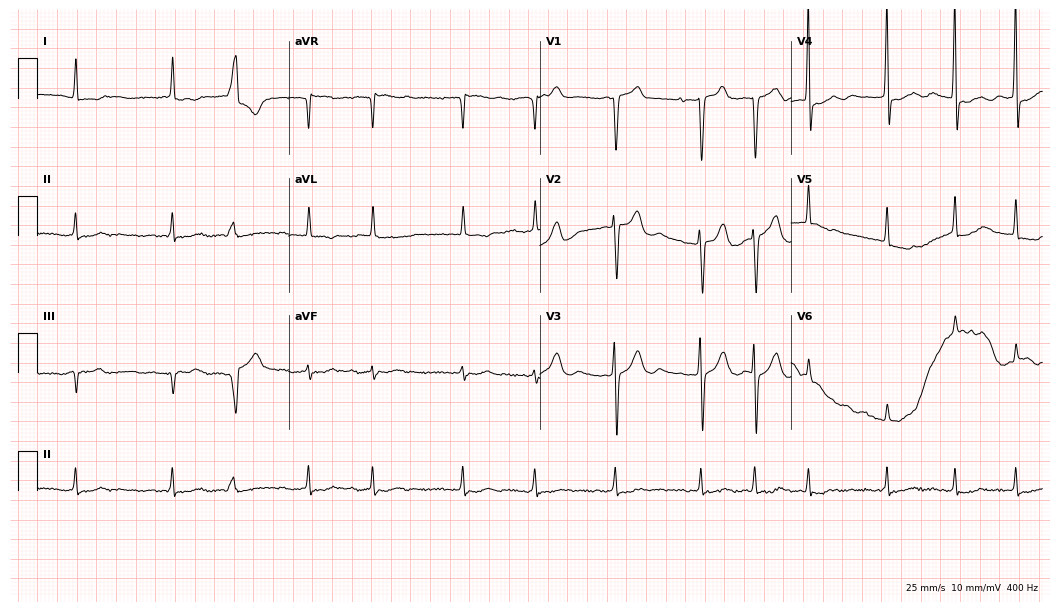
Standard 12-lead ECG recorded from an 85-year-old woman (10.2-second recording at 400 Hz). None of these six findings is recorded: first-degree AV block, right bundle branch block (RBBB), left bundle branch block (LBBB), sinus bradycardia, atrial fibrillation (AF), sinus tachycardia. Only these six findings were labelled.